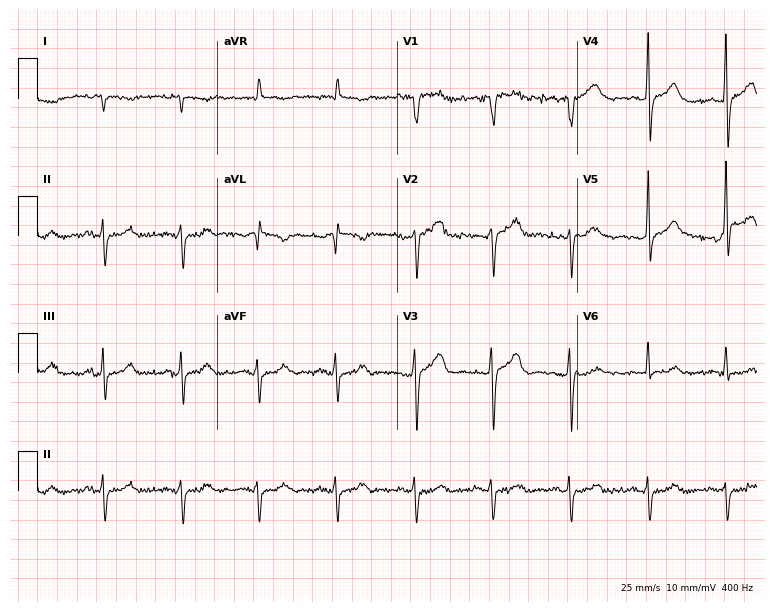
ECG — an 82-year-old male. Screened for six findings — first-degree AV block, right bundle branch block, left bundle branch block, sinus bradycardia, atrial fibrillation, sinus tachycardia — none is recorded. Only these six findings were labelled.